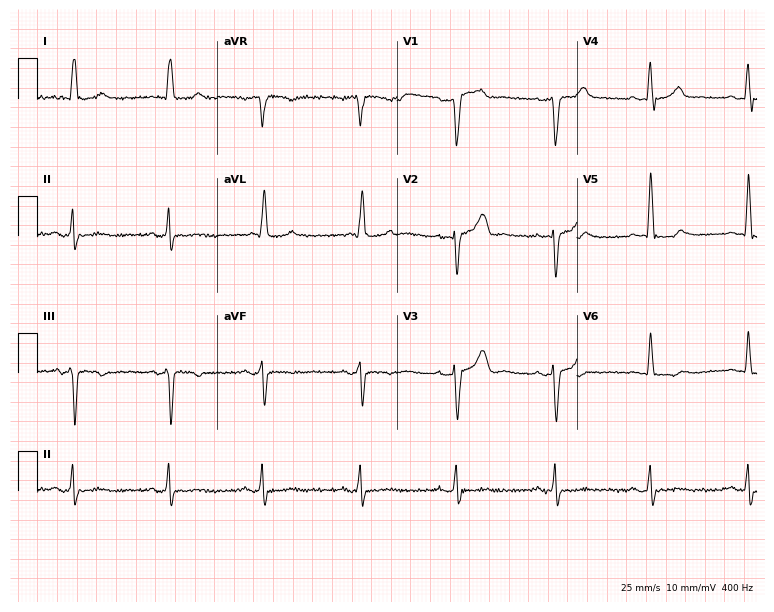
12-lead ECG from a female patient, 83 years old (7.3-second recording at 400 Hz). No first-degree AV block, right bundle branch block (RBBB), left bundle branch block (LBBB), sinus bradycardia, atrial fibrillation (AF) or sinus tachycardia recorded for this tracing.